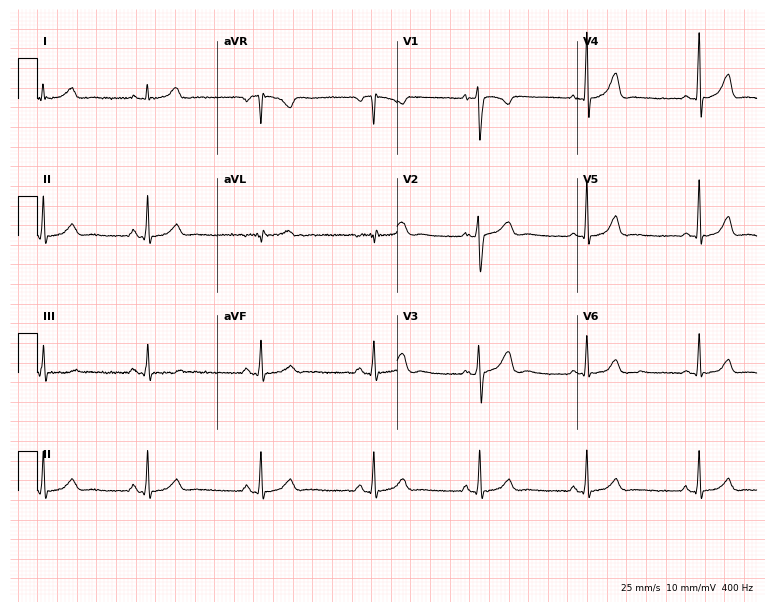
Standard 12-lead ECG recorded from a woman, 19 years old. Read as a normal ECG.